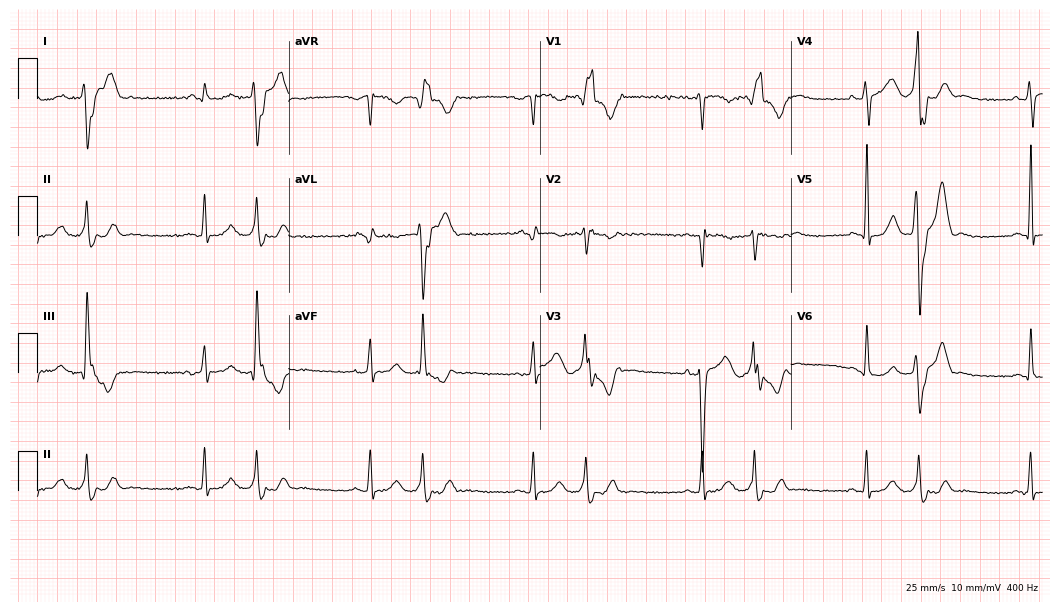
ECG — a man, 40 years old. Screened for six findings — first-degree AV block, right bundle branch block (RBBB), left bundle branch block (LBBB), sinus bradycardia, atrial fibrillation (AF), sinus tachycardia — none is recorded.